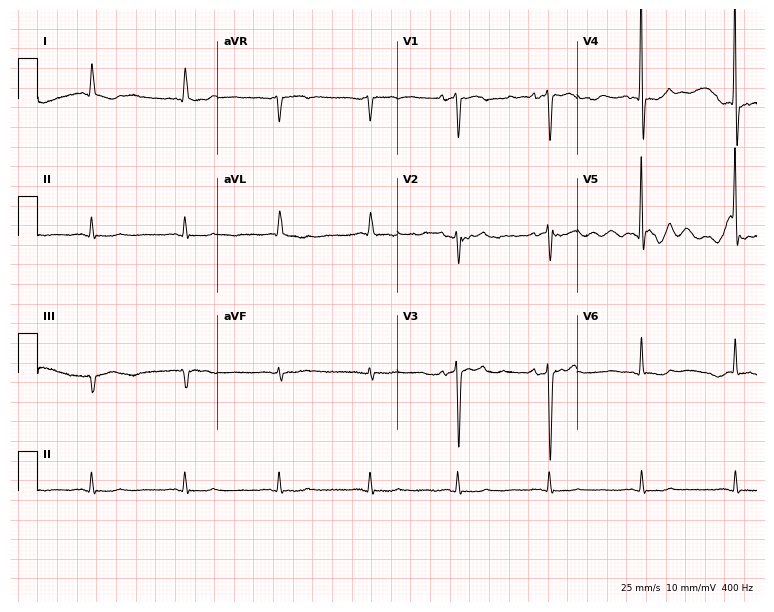
12-lead ECG from a woman, 83 years old (7.3-second recording at 400 Hz). No first-degree AV block, right bundle branch block, left bundle branch block, sinus bradycardia, atrial fibrillation or sinus tachycardia recorded for this tracing. Other findings, if any, are not listed.